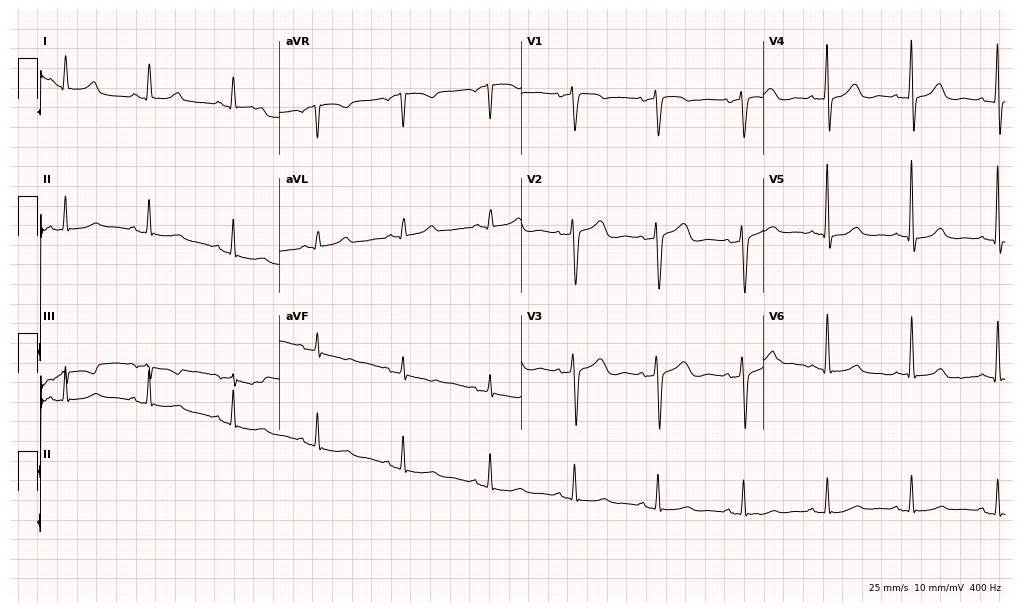
Electrocardiogram, a female patient, 63 years old. Of the six screened findings (first-degree AV block, right bundle branch block, left bundle branch block, sinus bradycardia, atrial fibrillation, sinus tachycardia), none is recorded. Other findings, if any, are not listed.